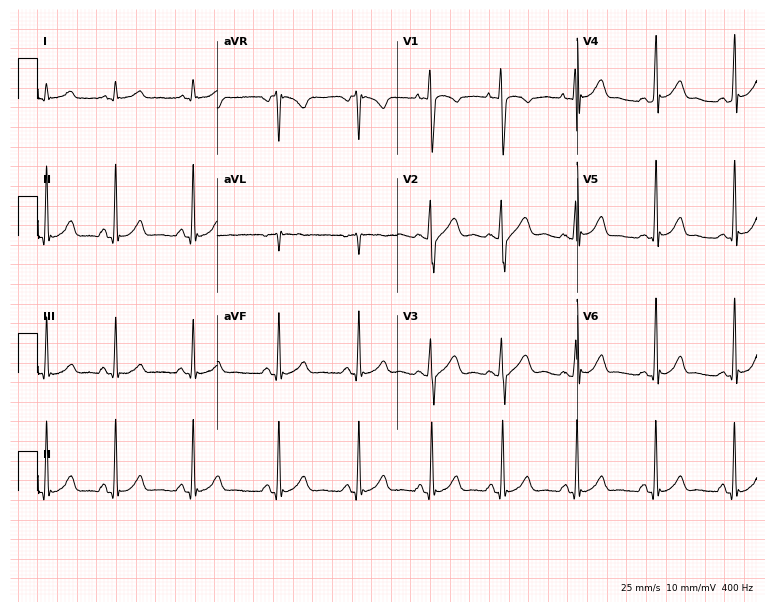
Electrocardiogram, a 17-year-old male. Overall reading on record: normal ECG.